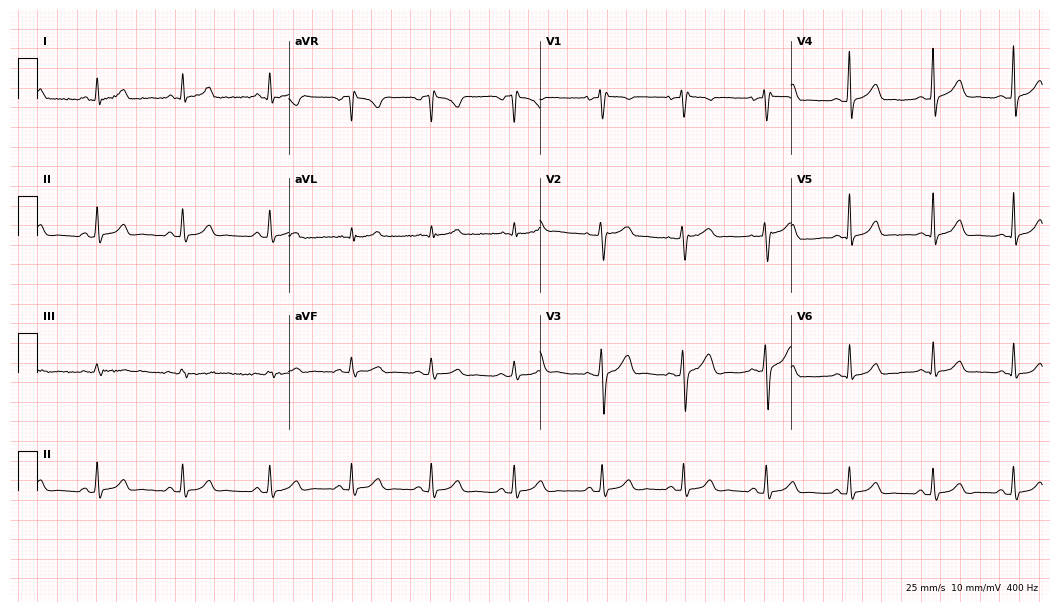
Electrocardiogram, a female, 36 years old. Overall reading on record: normal ECG.